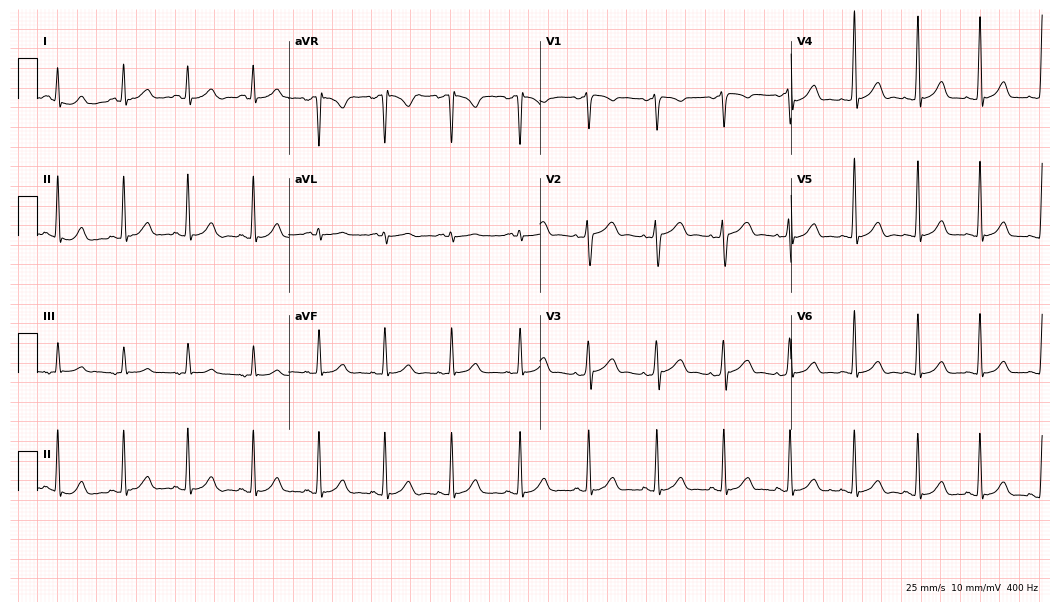
Standard 12-lead ECG recorded from a 36-year-old female patient. None of these six findings is recorded: first-degree AV block, right bundle branch block, left bundle branch block, sinus bradycardia, atrial fibrillation, sinus tachycardia.